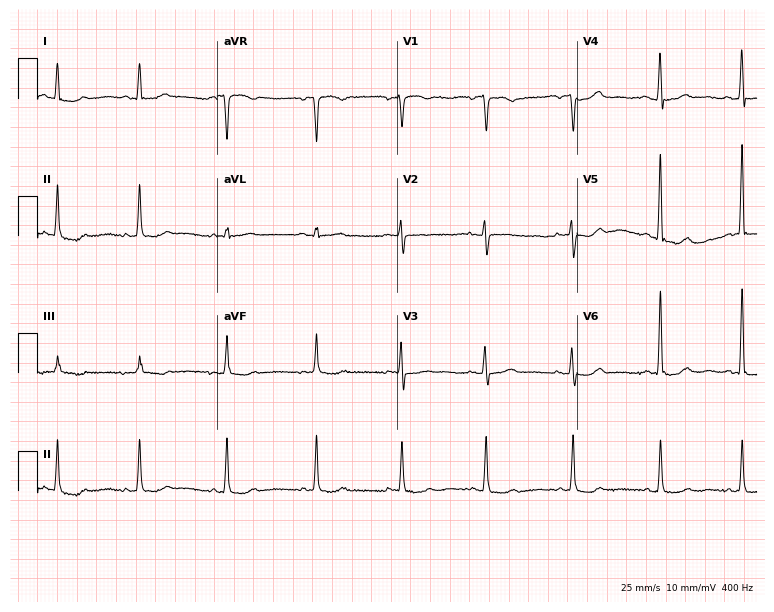
12-lead ECG from a woman, 66 years old (7.3-second recording at 400 Hz). No first-degree AV block, right bundle branch block (RBBB), left bundle branch block (LBBB), sinus bradycardia, atrial fibrillation (AF) or sinus tachycardia recorded for this tracing. Other findings, if any, are not listed.